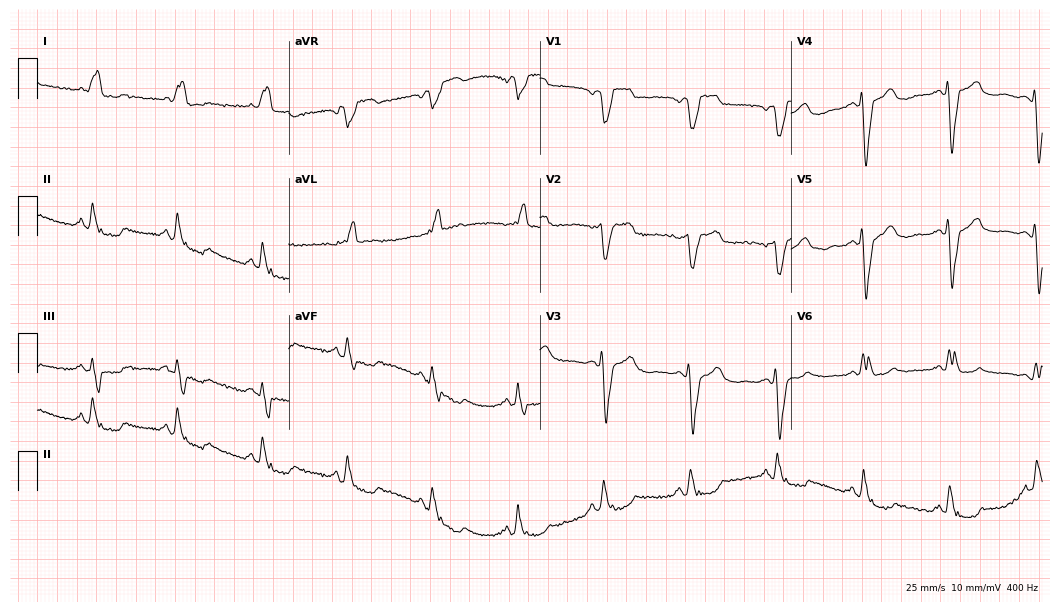
12-lead ECG from a 68-year-old woman. Findings include left bundle branch block.